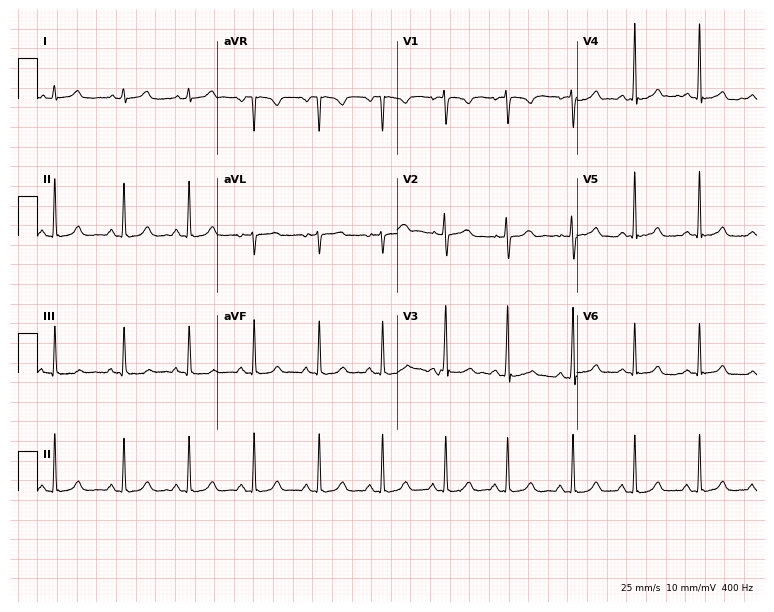
ECG — a woman, 21 years old. Screened for six findings — first-degree AV block, right bundle branch block, left bundle branch block, sinus bradycardia, atrial fibrillation, sinus tachycardia — none is recorded.